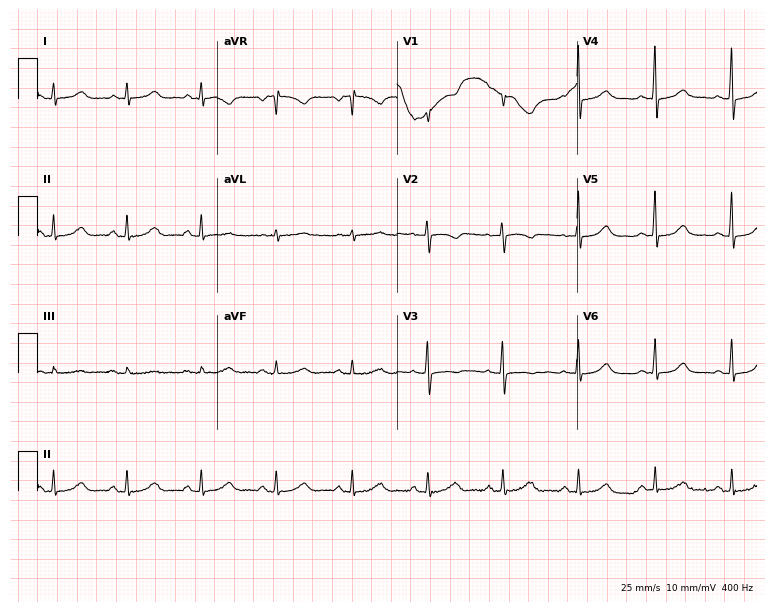
12-lead ECG from a 60-year-old female patient. Labelled as a normal ECG.